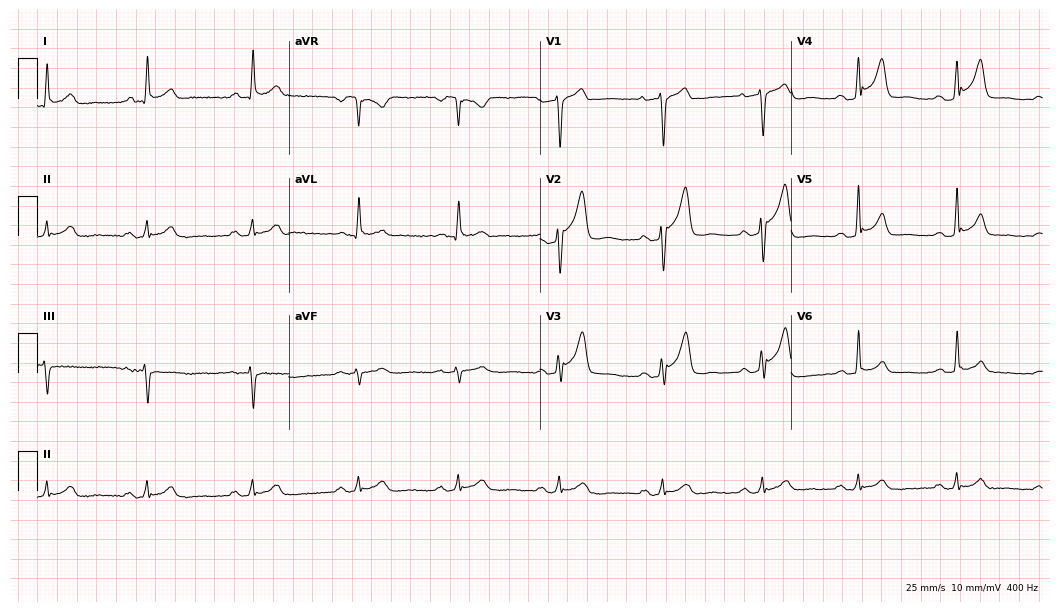
Resting 12-lead electrocardiogram. Patient: a man, 47 years old. None of these six findings is recorded: first-degree AV block, right bundle branch block (RBBB), left bundle branch block (LBBB), sinus bradycardia, atrial fibrillation (AF), sinus tachycardia. Findings outside these six are not listed.